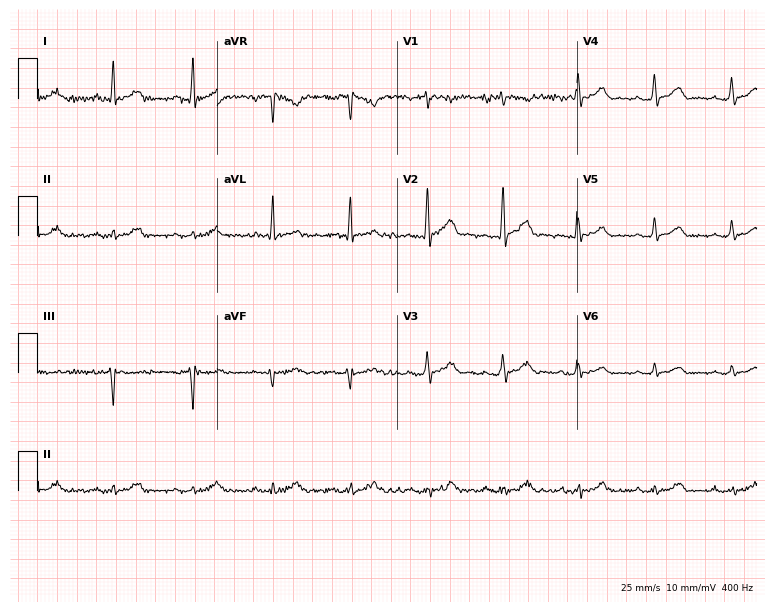
Resting 12-lead electrocardiogram. Patient: a male, 67 years old. Read as a normal ECG.